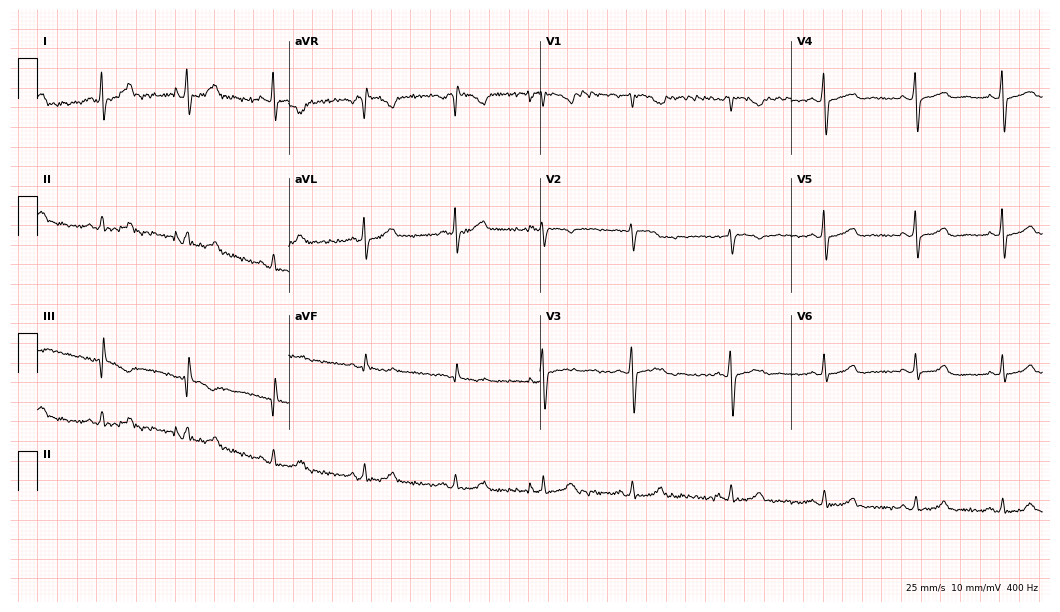
12-lead ECG from a 43-year-old female. Screened for six findings — first-degree AV block, right bundle branch block, left bundle branch block, sinus bradycardia, atrial fibrillation, sinus tachycardia — none is recorded. Only these six findings were labelled.